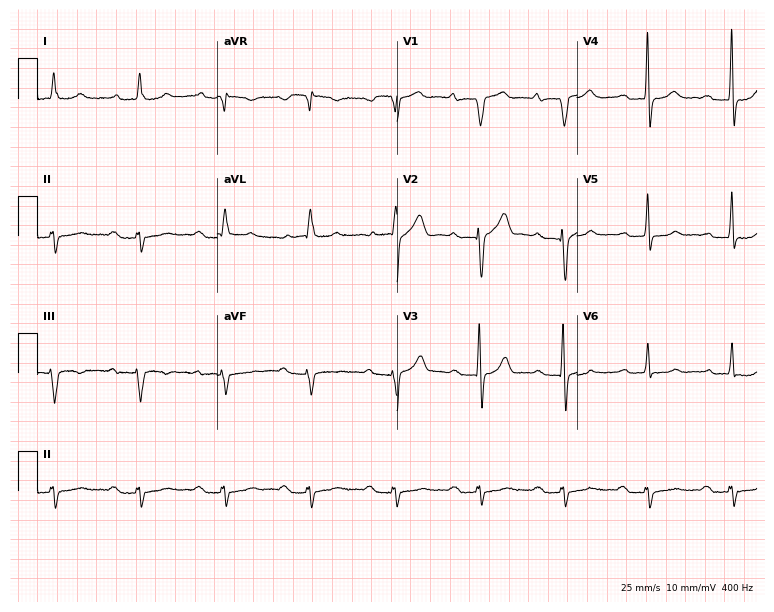
ECG (7.3-second recording at 400 Hz) — an 84-year-old male. Findings include first-degree AV block.